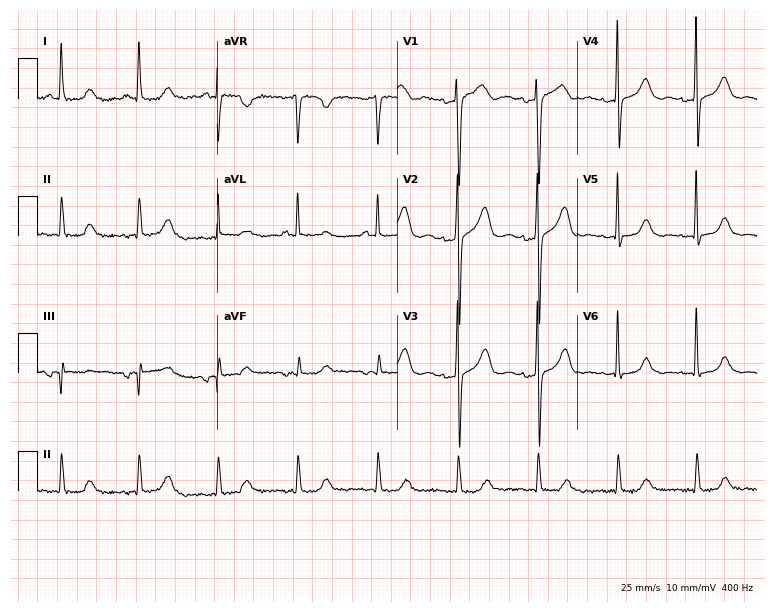
Electrocardiogram, a woman, 62 years old. Of the six screened findings (first-degree AV block, right bundle branch block (RBBB), left bundle branch block (LBBB), sinus bradycardia, atrial fibrillation (AF), sinus tachycardia), none is recorded. Findings outside these six are not listed.